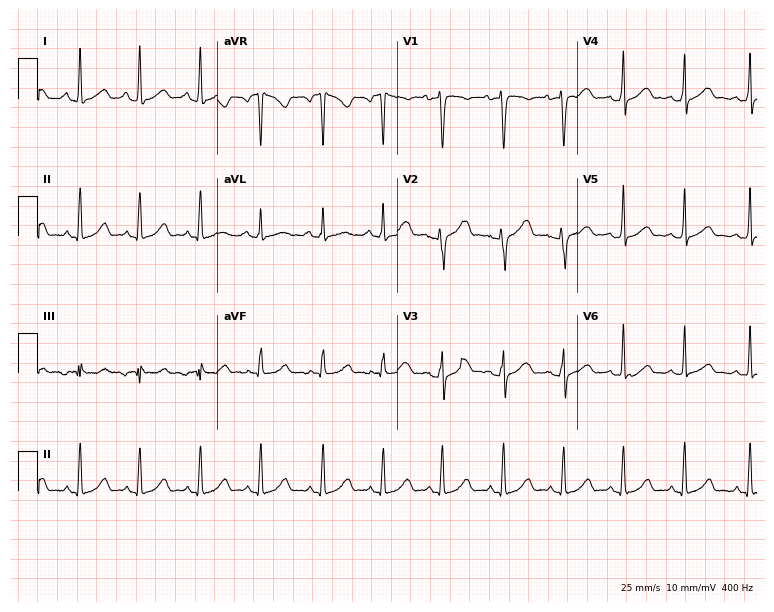
Standard 12-lead ECG recorded from a female, 17 years old (7.3-second recording at 400 Hz). Read as a normal ECG.